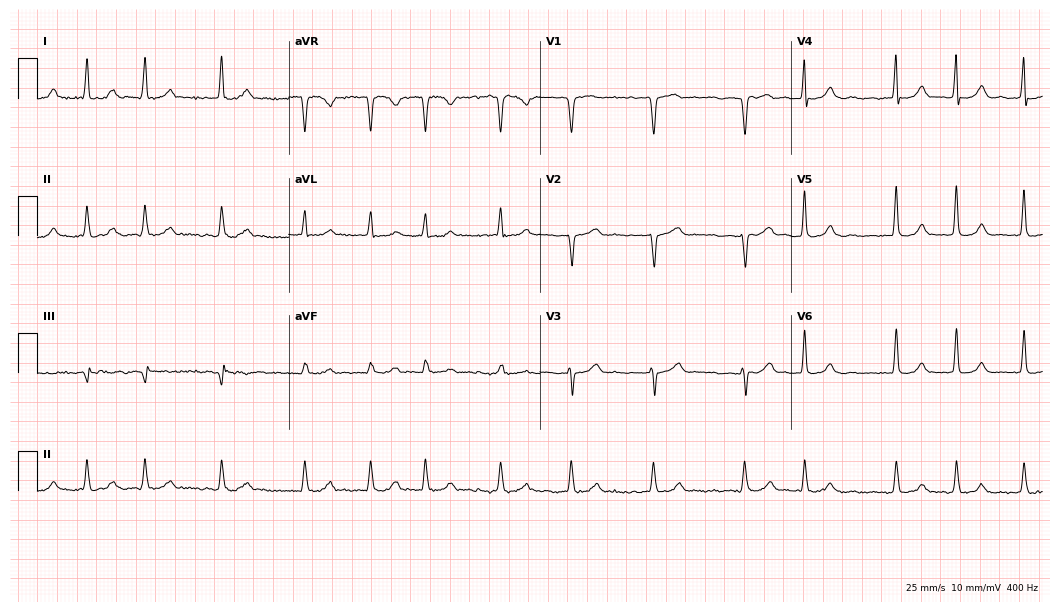
12-lead ECG from a 76-year-old female patient (10.2-second recording at 400 Hz). Shows atrial fibrillation (AF).